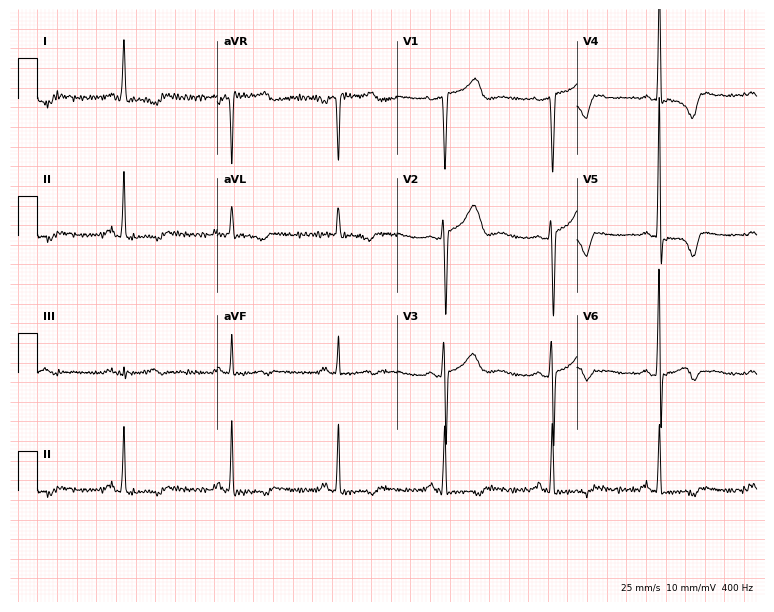
Resting 12-lead electrocardiogram. Patient: a female, 53 years old. None of these six findings is recorded: first-degree AV block, right bundle branch block, left bundle branch block, sinus bradycardia, atrial fibrillation, sinus tachycardia. Findings outside these six are not listed.